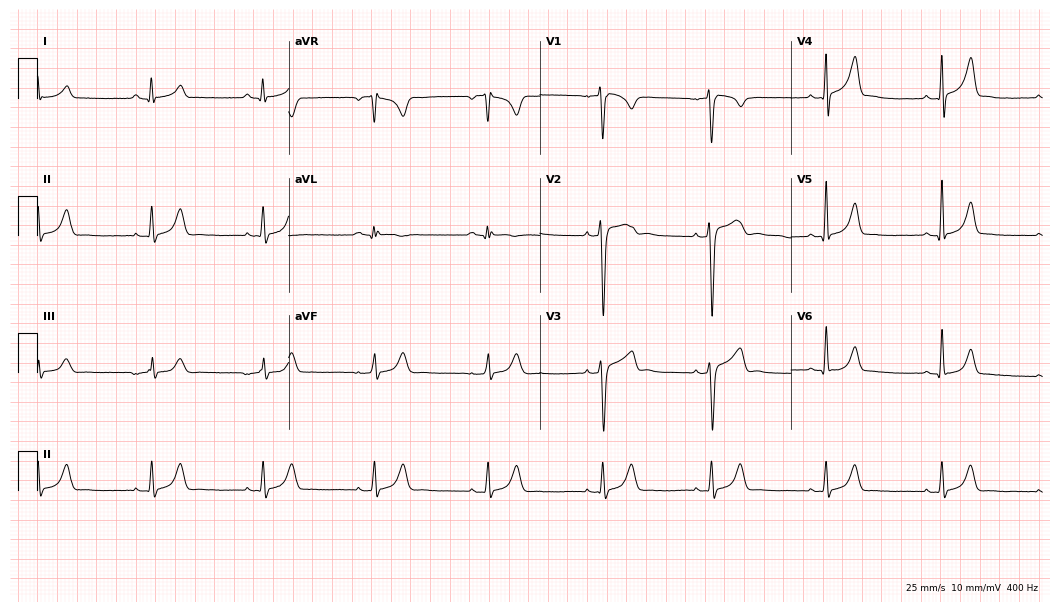
ECG (10.2-second recording at 400 Hz) — a man, 34 years old. Screened for six findings — first-degree AV block, right bundle branch block, left bundle branch block, sinus bradycardia, atrial fibrillation, sinus tachycardia — none is recorded.